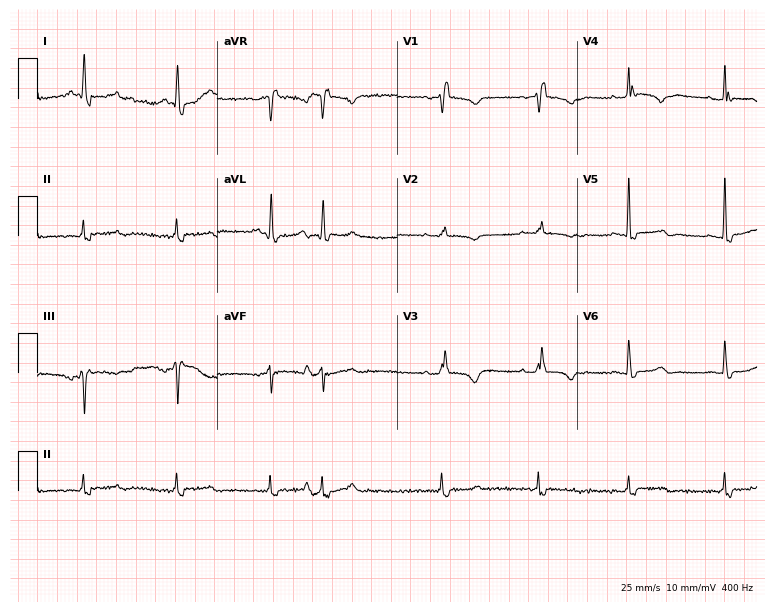
Standard 12-lead ECG recorded from a 65-year-old female patient. None of these six findings is recorded: first-degree AV block, right bundle branch block, left bundle branch block, sinus bradycardia, atrial fibrillation, sinus tachycardia. Only these six findings were labelled.